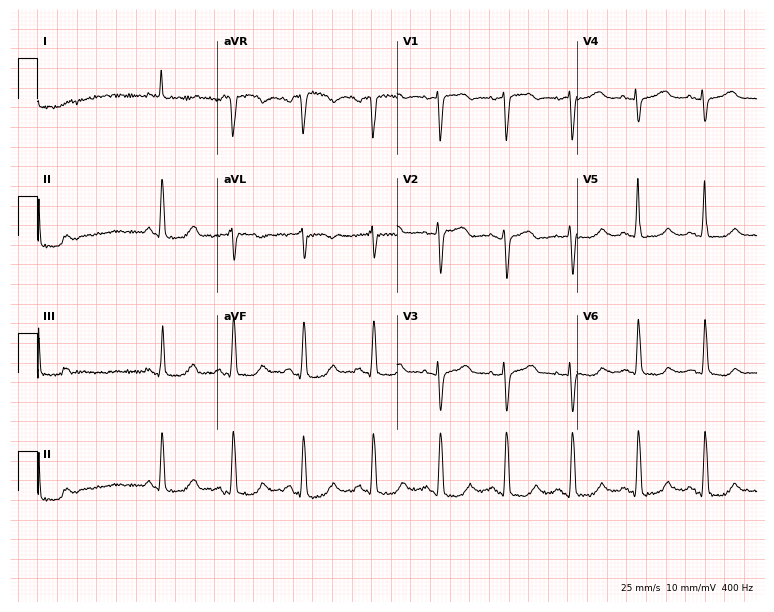
ECG — a woman, 80 years old. Labelled as a normal ECG.